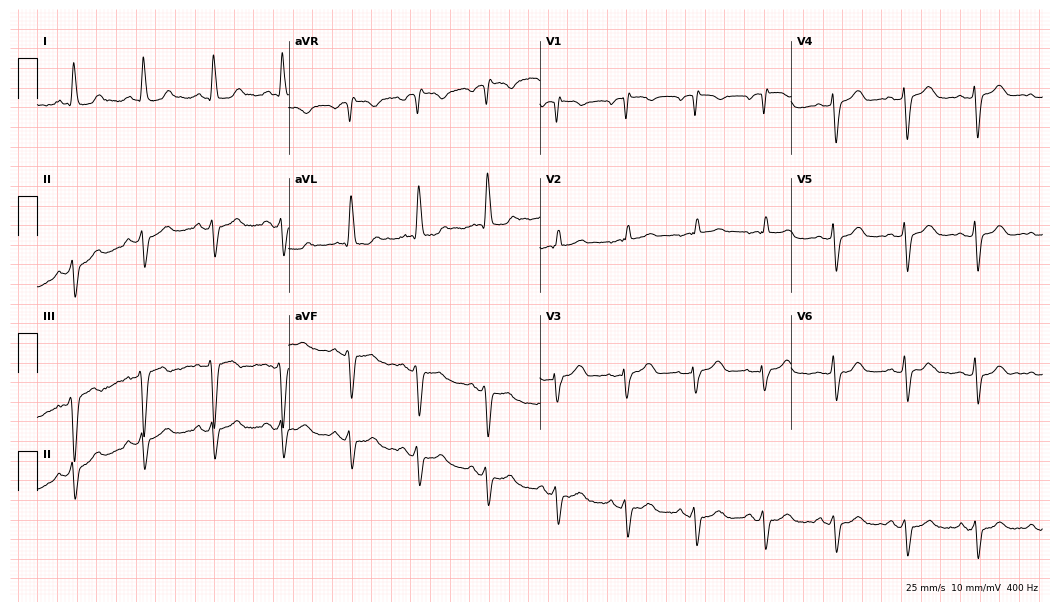
Electrocardiogram (10.2-second recording at 400 Hz), a female, 72 years old. Of the six screened findings (first-degree AV block, right bundle branch block (RBBB), left bundle branch block (LBBB), sinus bradycardia, atrial fibrillation (AF), sinus tachycardia), none is recorded. Other findings, if any, are not listed.